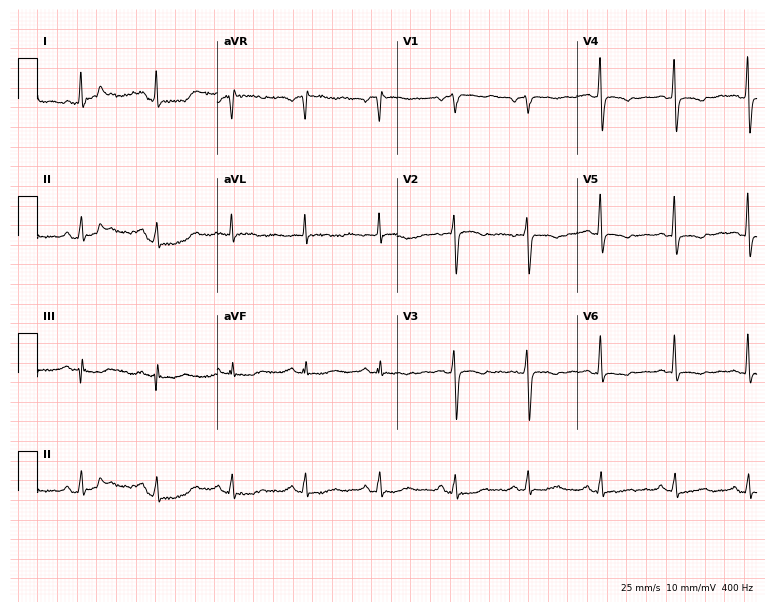
Resting 12-lead electrocardiogram (7.3-second recording at 400 Hz). Patient: a 70-year-old woman. None of these six findings is recorded: first-degree AV block, right bundle branch block (RBBB), left bundle branch block (LBBB), sinus bradycardia, atrial fibrillation (AF), sinus tachycardia.